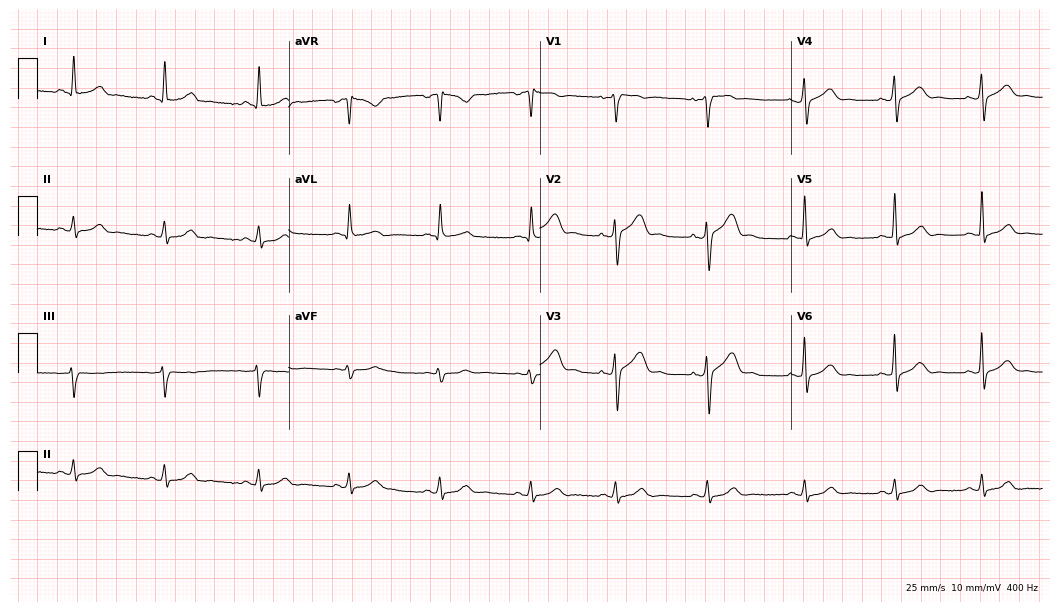
12-lead ECG from a man, 36 years old (10.2-second recording at 400 Hz). Recorded interpretation: within normal limits.